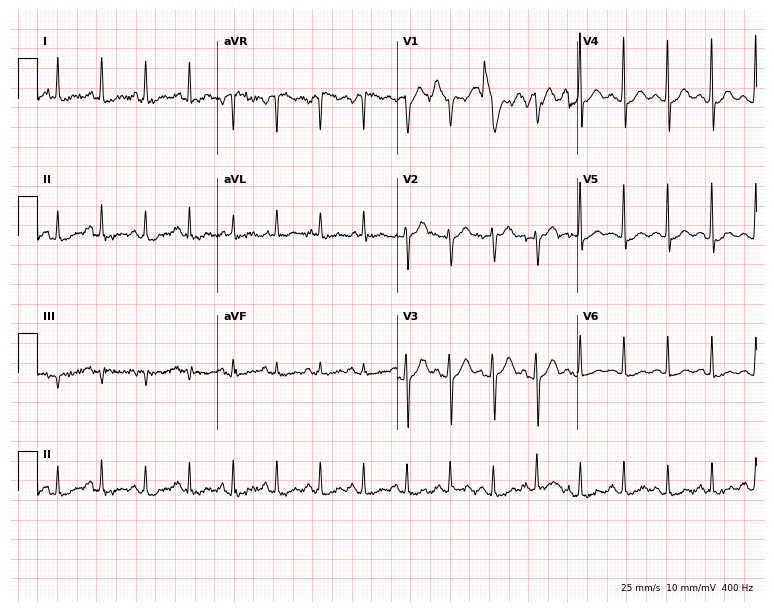
12-lead ECG from a 59-year-old male patient (7.3-second recording at 400 Hz). Shows sinus tachycardia (a sinus rate of 100 beats per minute or more).